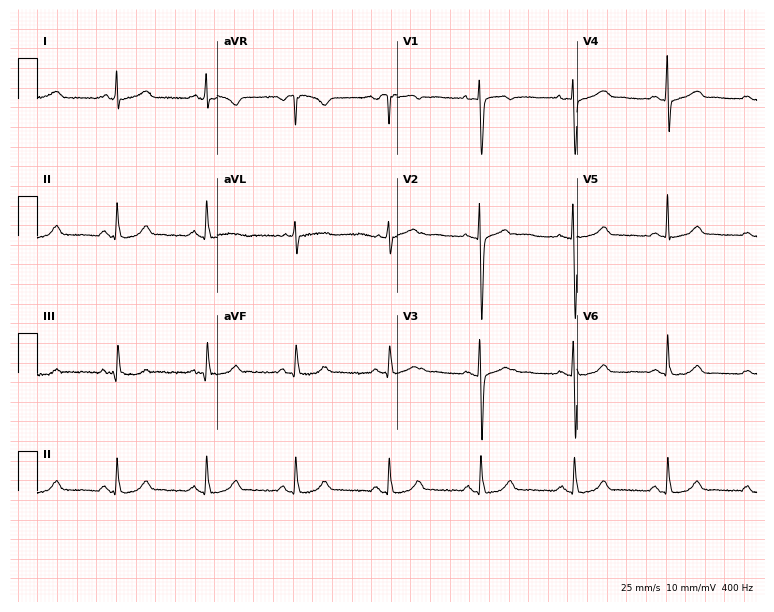
Standard 12-lead ECG recorded from a female, 41 years old (7.3-second recording at 400 Hz). Read as a normal ECG.